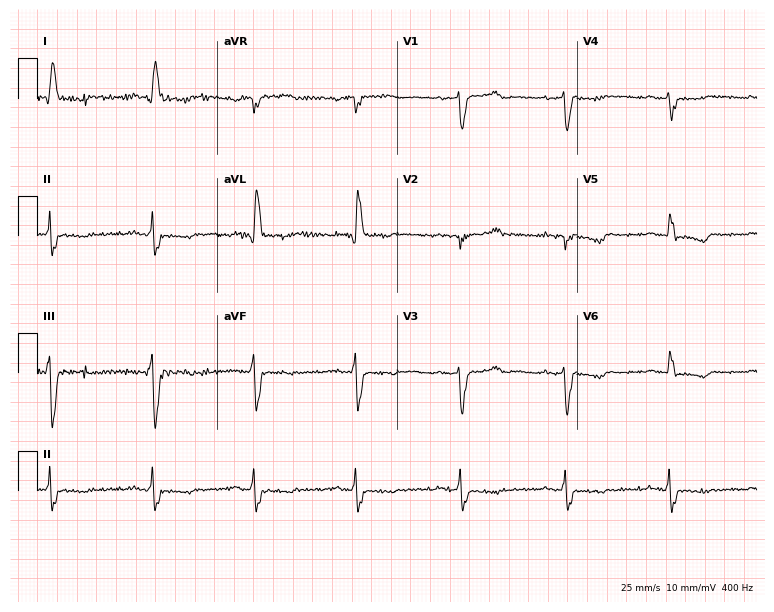
Standard 12-lead ECG recorded from a female patient, 67 years old. None of these six findings is recorded: first-degree AV block, right bundle branch block, left bundle branch block, sinus bradycardia, atrial fibrillation, sinus tachycardia.